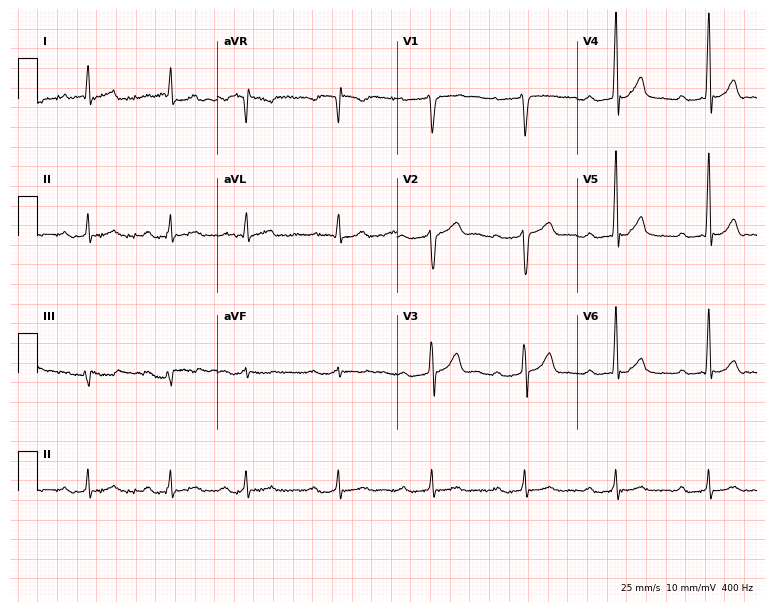
12-lead ECG from a 35-year-old man. Findings include first-degree AV block.